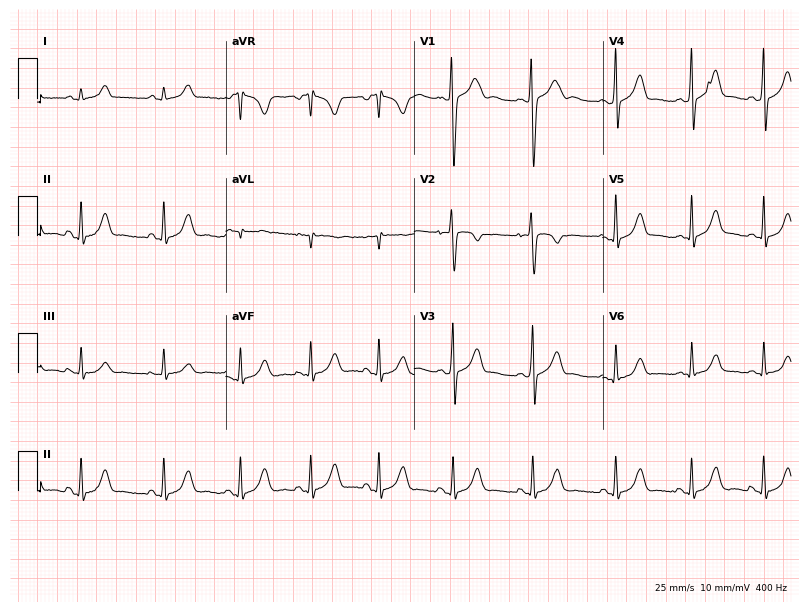
Electrocardiogram (7.7-second recording at 400 Hz), a 17-year-old woman. Overall reading on record: normal ECG.